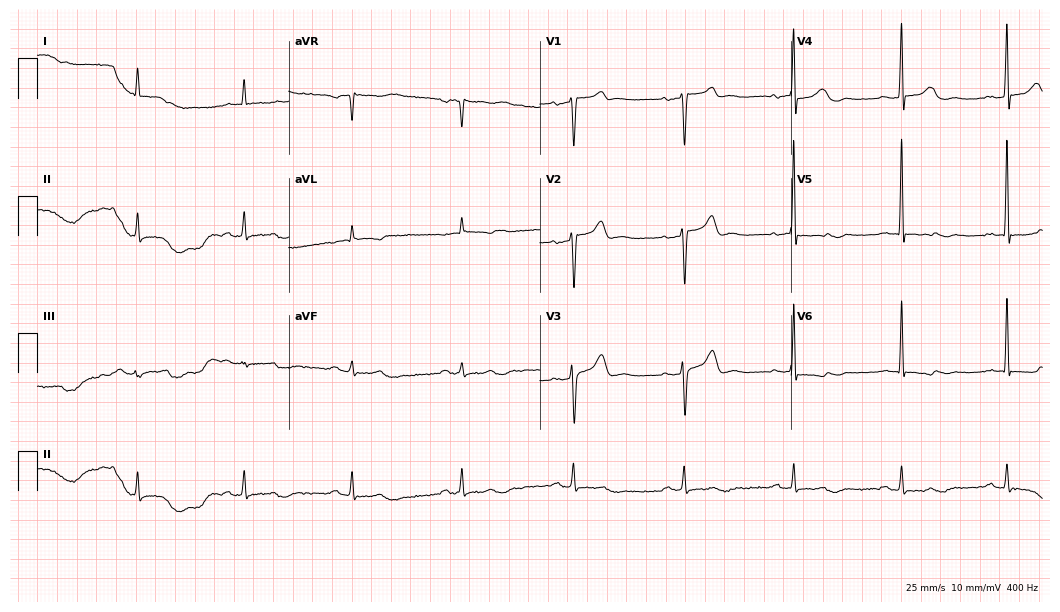
Standard 12-lead ECG recorded from a 69-year-old man. None of these six findings is recorded: first-degree AV block, right bundle branch block, left bundle branch block, sinus bradycardia, atrial fibrillation, sinus tachycardia.